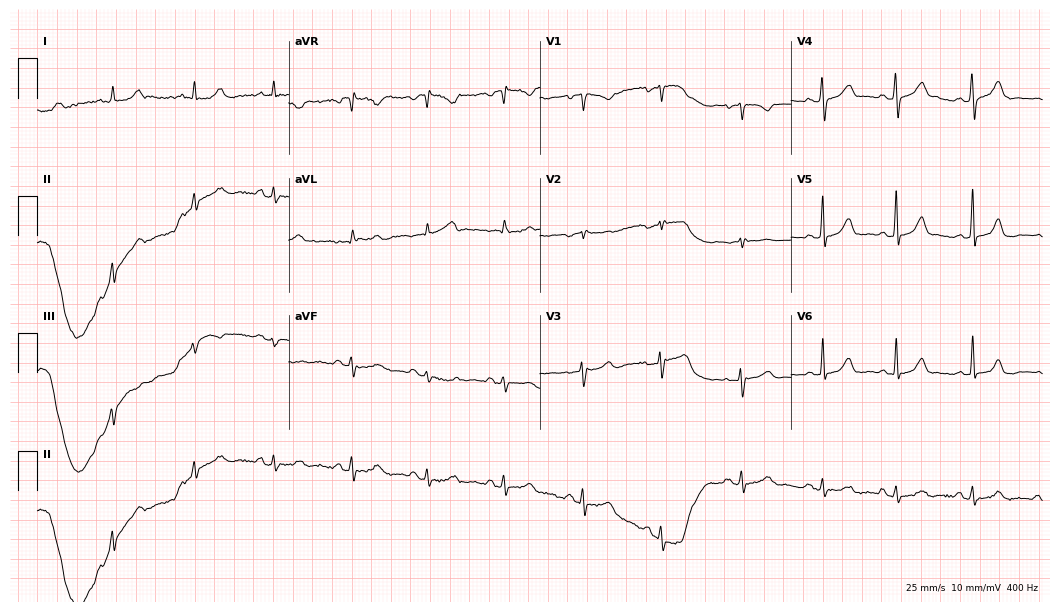
12-lead ECG (10.2-second recording at 400 Hz) from a woman, 44 years old. Labelled as a normal ECG.